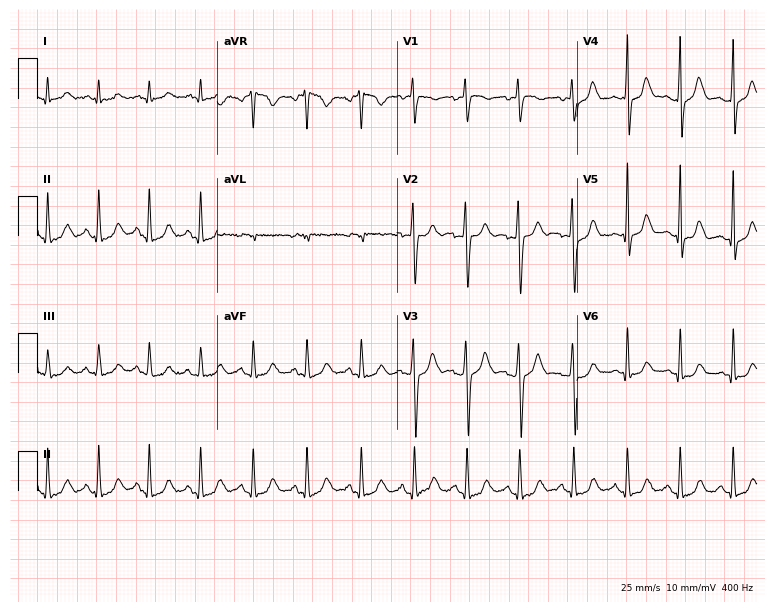
12-lead ECG (7.3-second recording at 400 Hz) from a 23-year-old female. Findings include sinus tachycardia (a sinus rate of 100 beats per minute or more).